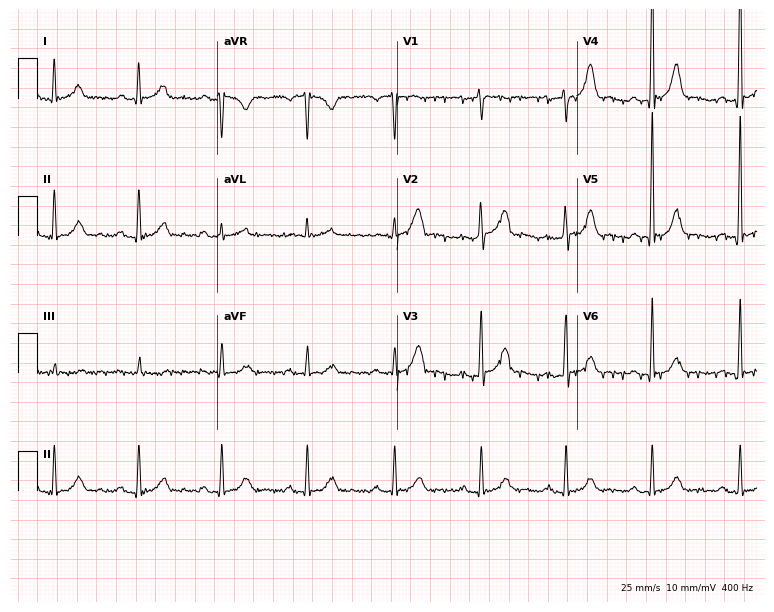
Electrocardiogram, a female, 64 years old. Overall reading on record: normal ECG.